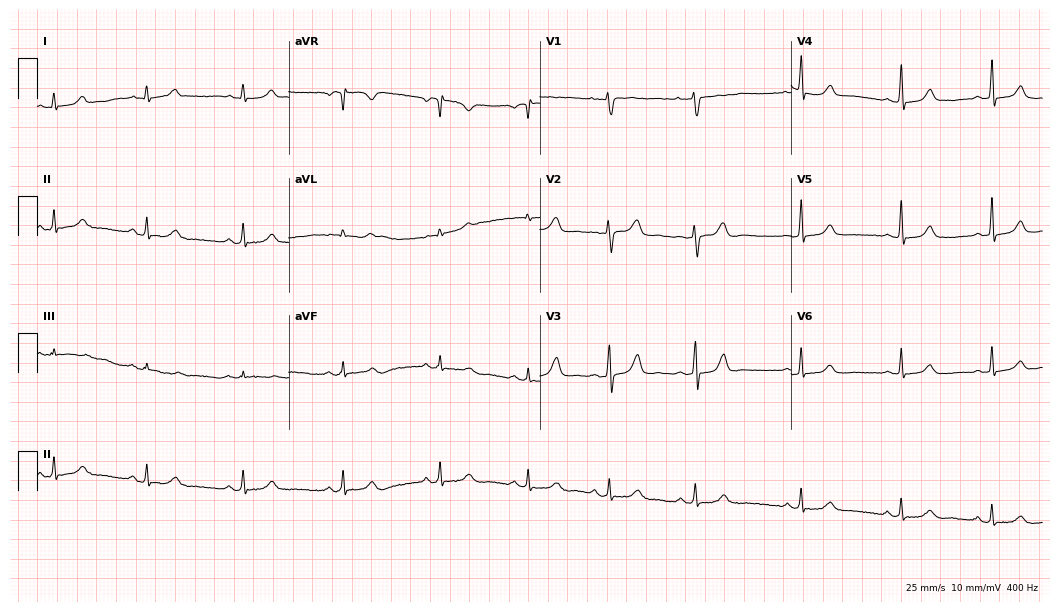
12-lead ECG from a female patient, 30 years old (10.2-second recording at 400 Hz). No first-degree AV block, right bundle branch block, left bundle branch block, sinus bradycardia, atrial fibrillation or sinus tachycardia recorded for this tracing. Only these six findings were labelled.